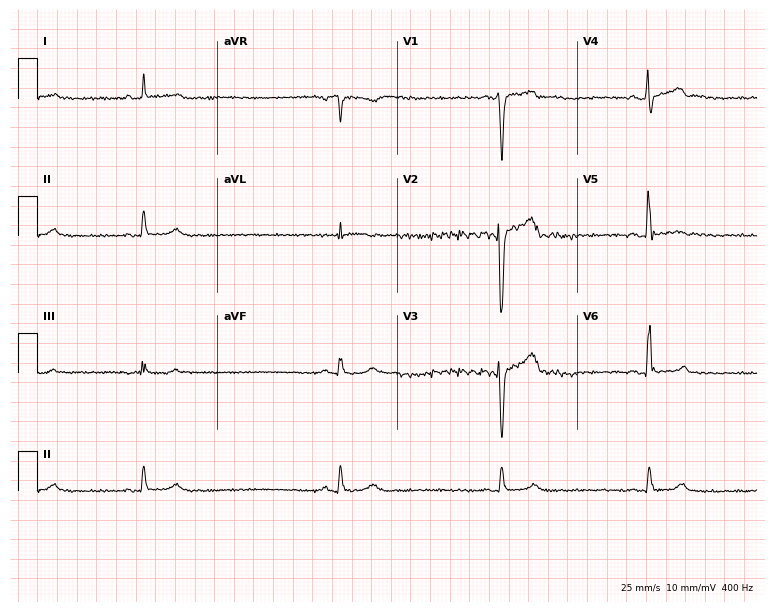
12-lead ECG from a male, 37 years old. Findings include sinus bradycardia (a sinus rate of 50 beats per minute or less).